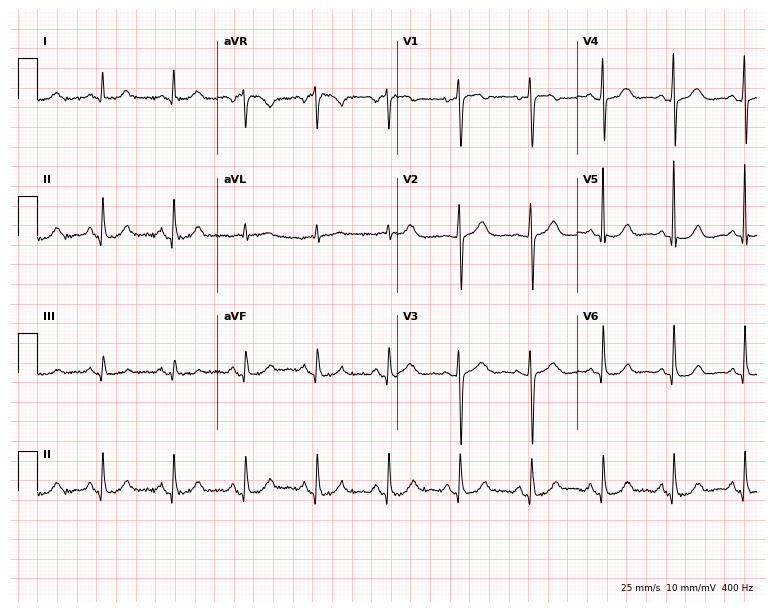
12-lead ECG from a woman, 87 years old (7.3-second recording at 400 Hz). Recorded interpretation: within normal limits.